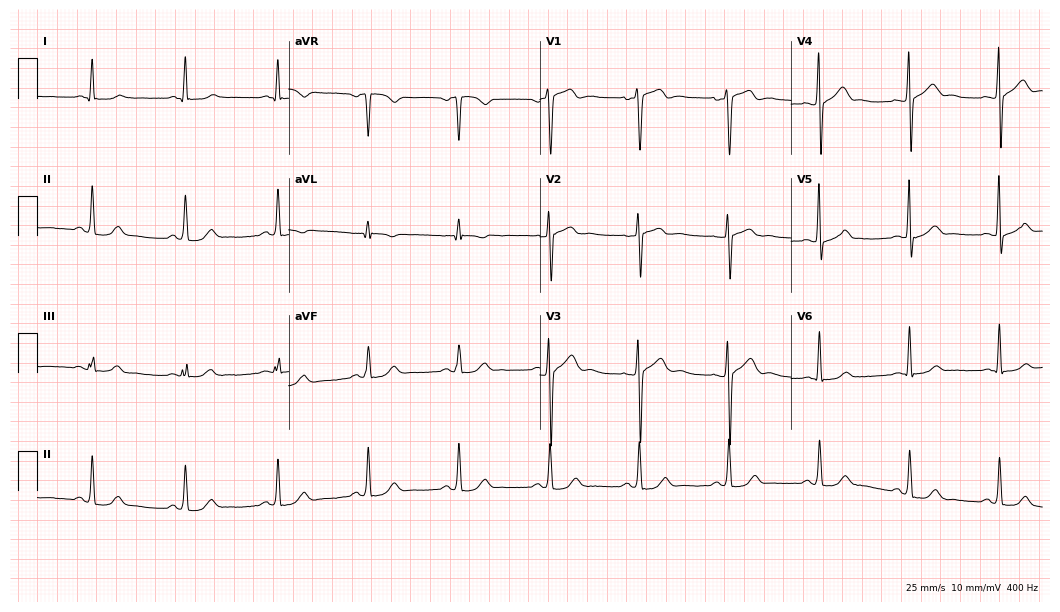
Standard 12-lead ECG recorded from a male patient, 41 years old. None of these six findings is recorded: first-degree AV block, right bundle branch block (RBBB), left bundle branch block (LBBB), sinus bradycardia, atrial fibrillation (AF), sinus tachycardia.